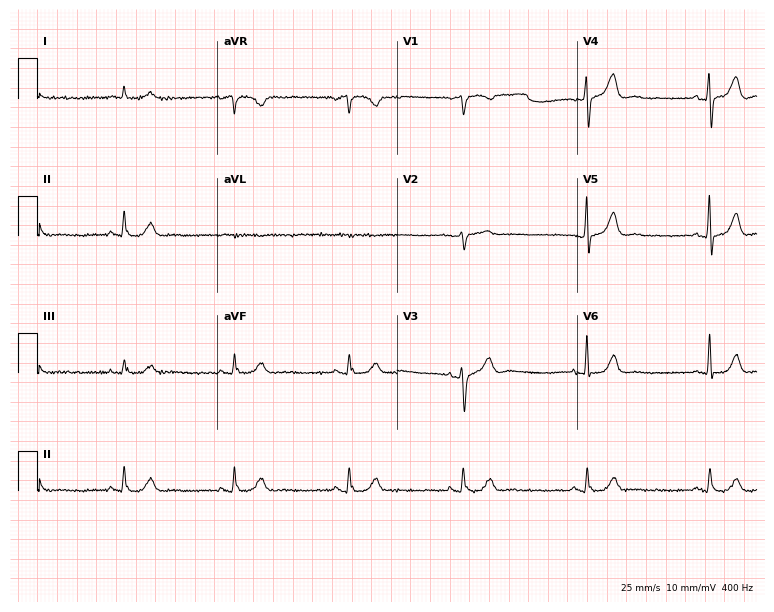
Electrocardiogram (7.3-second recording at 400 Hz), a 70-year-old male patient. Interpretation includes sinus bradycardia (a sinus rate of 50 beats per minute or less).